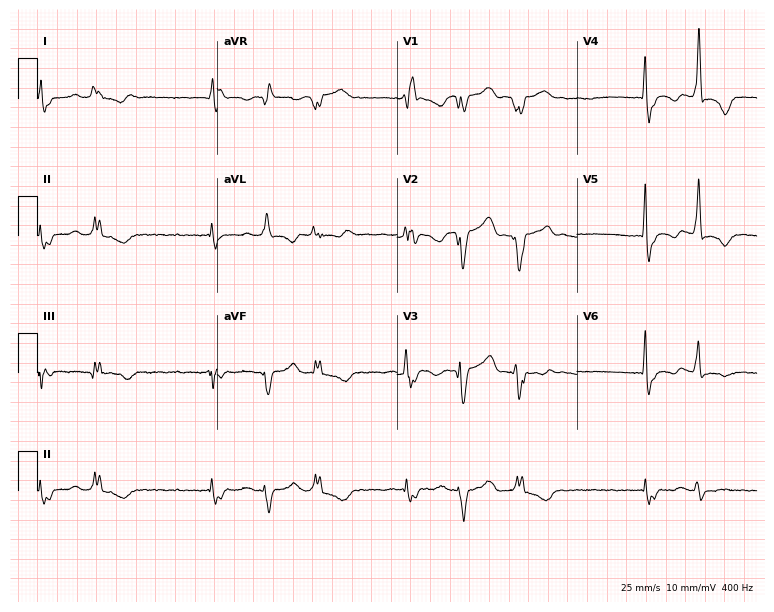
ECG — a 44-year-old female patient. Findings include right bundle branch block, atrial fibrillation.